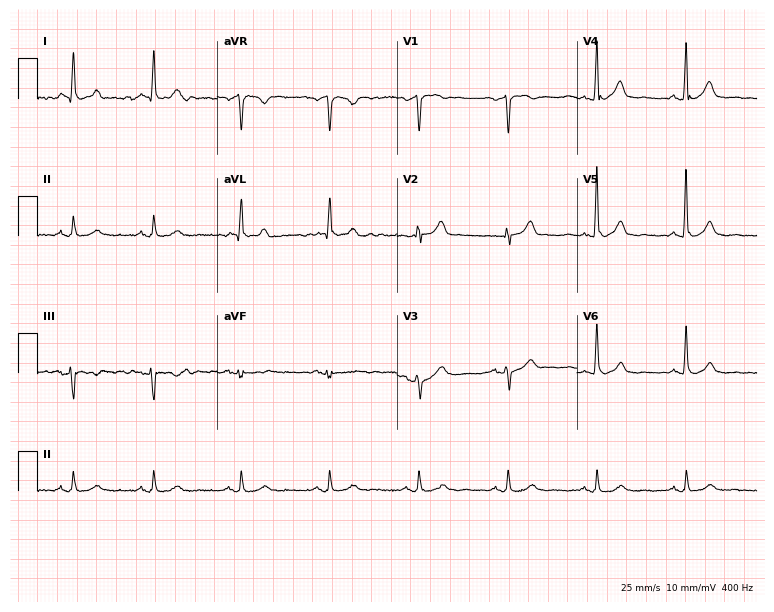
Standard 12-lead ECG recorded from a 74-year-old male (7.3-second recording at 400 Hz). Read as a normal ECG.